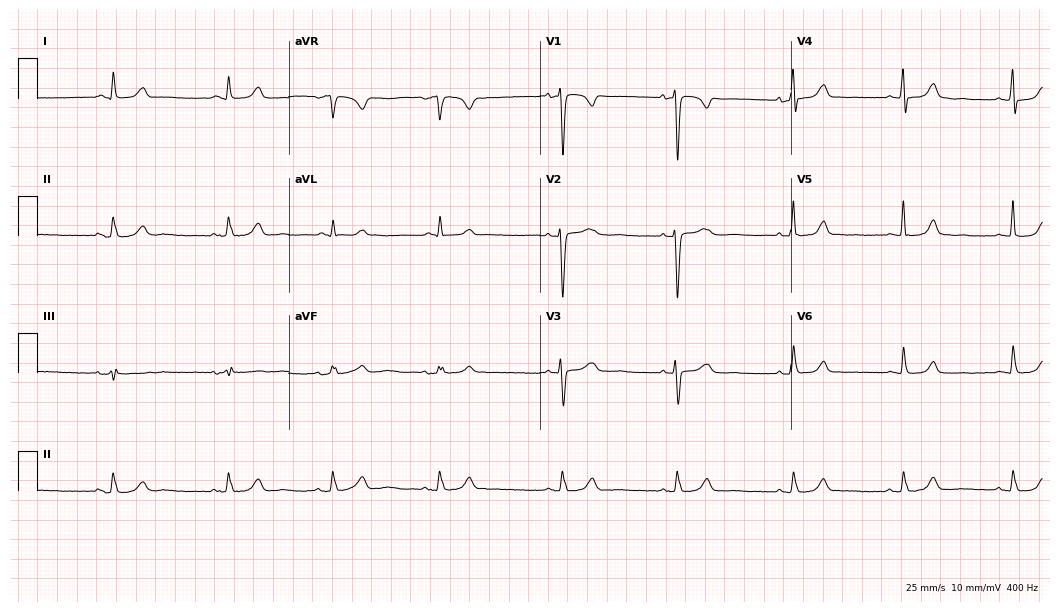
Electrocardiogram, a woman, 69 years old. Overall reading on record: normal ECG.